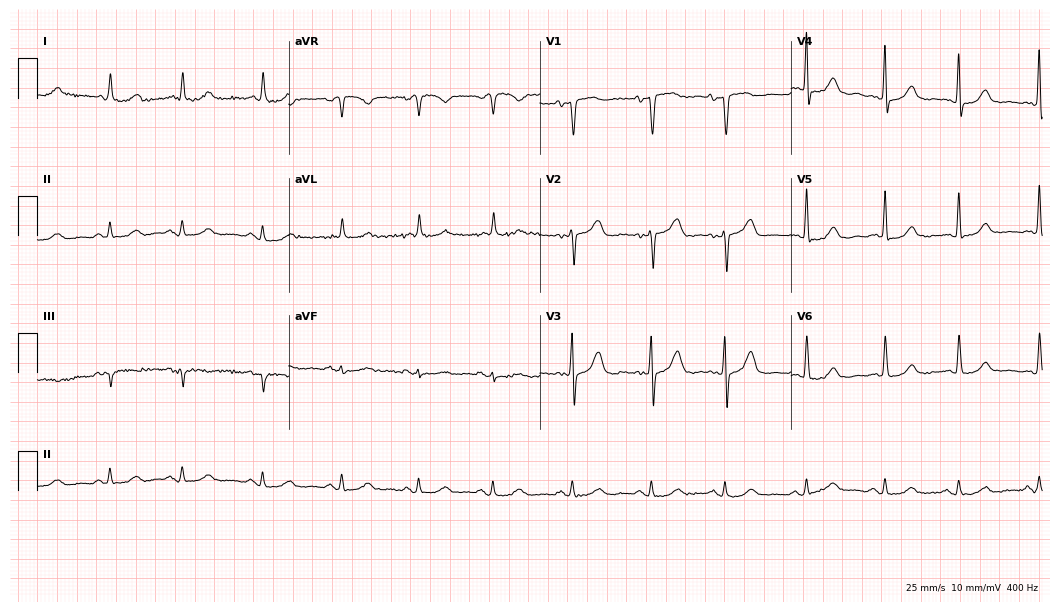
Electrocardiogram (10.2-second recording at 400 Hz), a female, 76 years old. Overall reading on record: normal ECG.